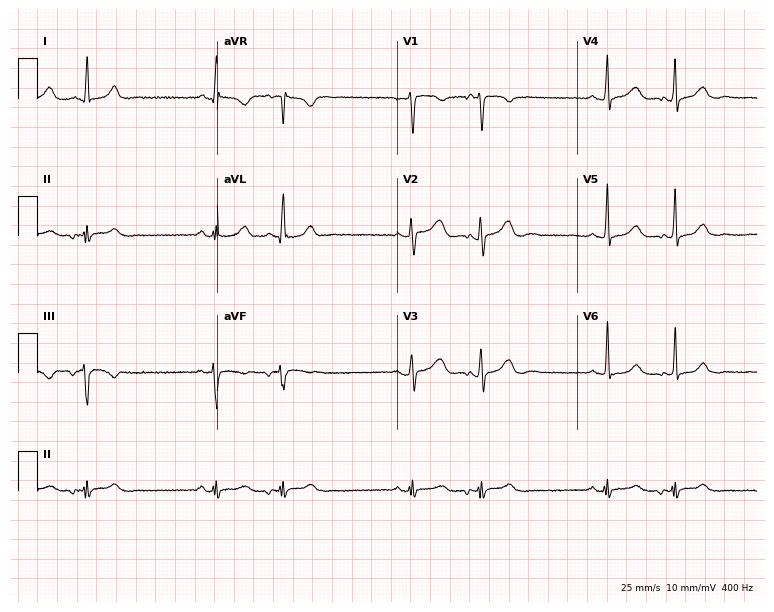
Standard 12-lead ECG recorded from a 45-year-old woman (7.3-second recording at 400 Hz). Read as a normal ECG.